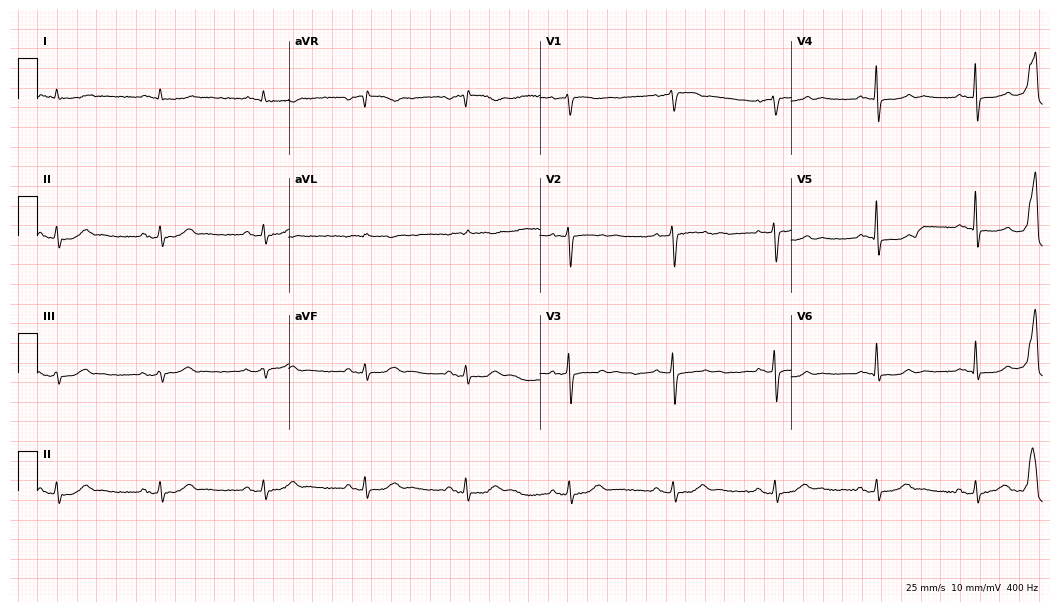
Resting 12-lead electrocardiogram (10.2-second recording at 400 Hz). Patient: a male, 75 years old. None of these six findings is recorded: first-degree AV block, right bundle branch block, left bundle branch block, sinus bradycardia, atrial fibrillation, sinus tachycardia.